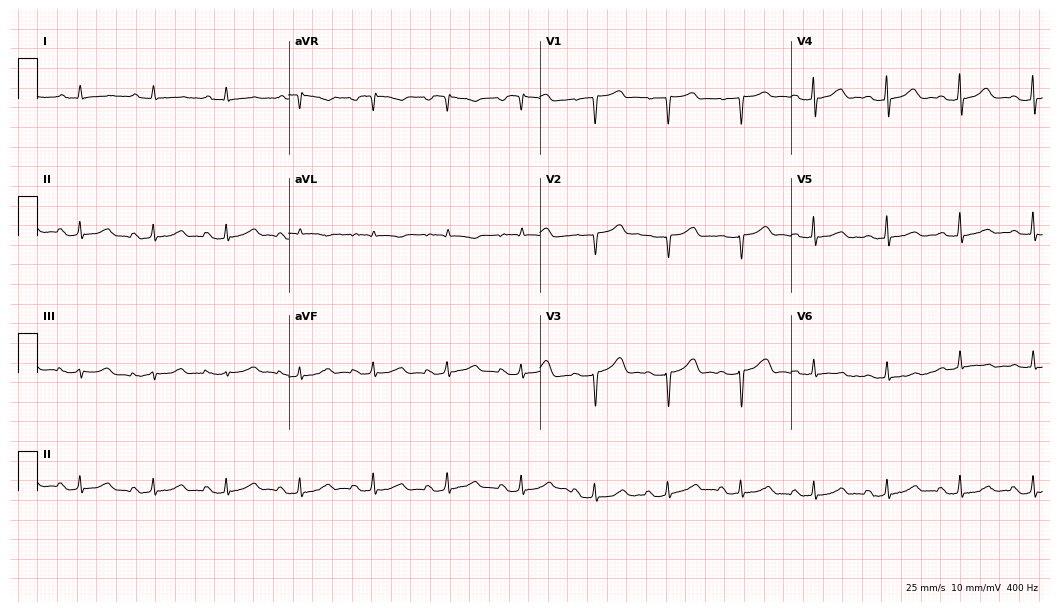
Resting 12-lead electrocardiogram. Patient: a woman, 83 years old. None of these six findings is recorded: first-degree AV block, right bundle branch block (RBBB), left bundle branch block (LBBB), sinus bradycardia, atrial fibrillation (AF), sinus tachycardia.